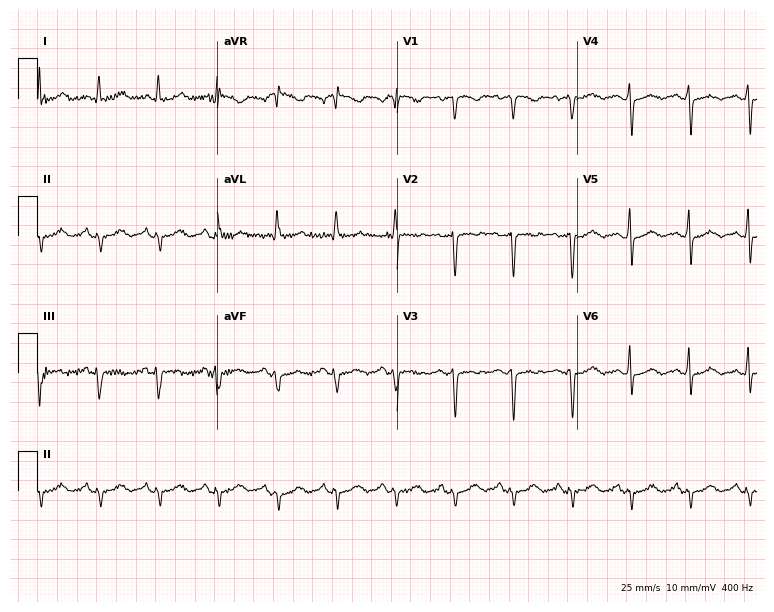
Resting 12-lead electrocardiogram (7.3-second recording at 400 Hz). Patient: a female, 63 years old. None of these six findings is recorded: first-degree AV block, right bundle branch block, left bundle branch block, sinus bradycardia, atrial fibrillation, sinus tachycardia. Other findings, if any, are not listed.